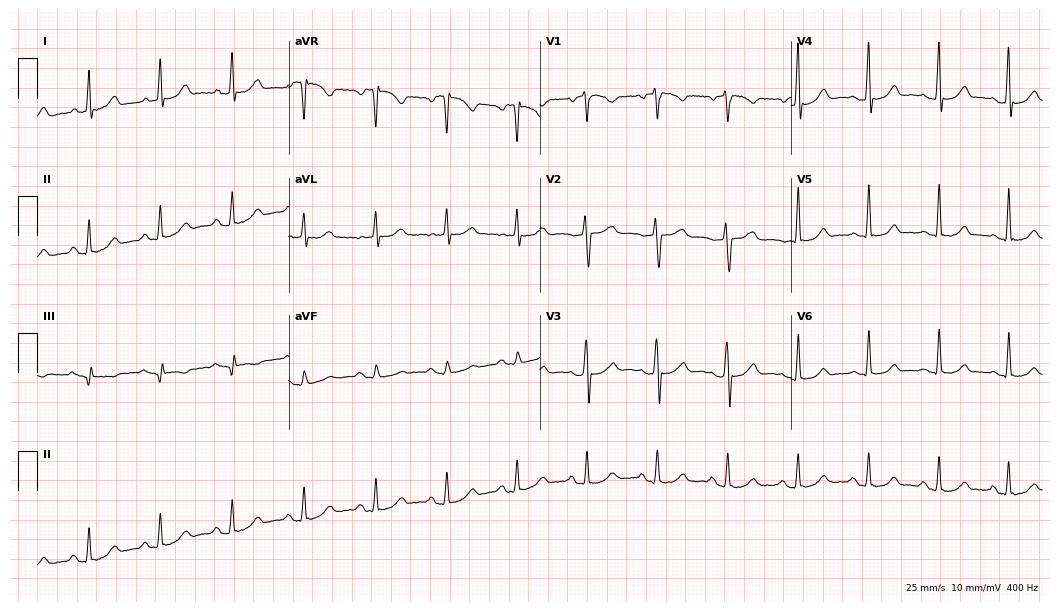
ECG (10.2-second recording at 400 Hz) — a 57-year-old woman. Screened for six findings — first-degree AV block, right bundle branch block (RBBB), left bundle branch block (LBBB), sinus bradycardia, atrial fibrillation (AF), sinus tachycardia — none is recorded. Only these six findings were labelled.